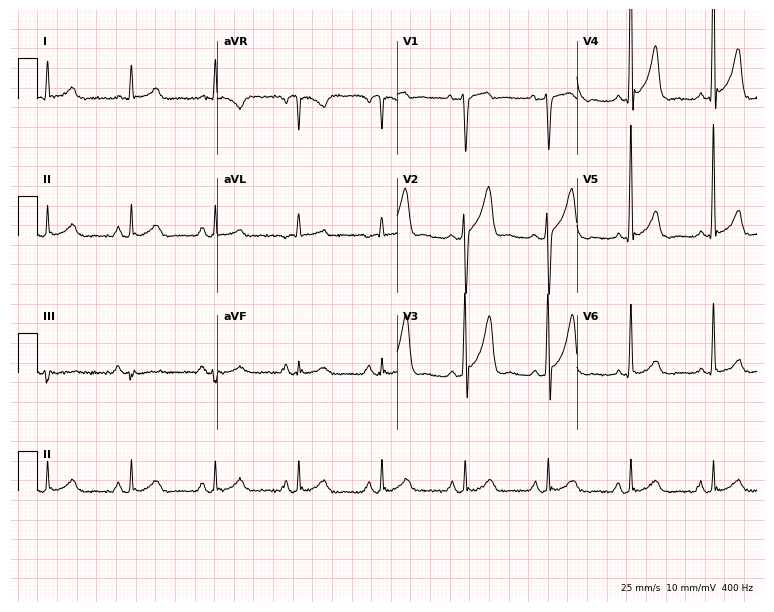
12-lead ECG from a 67-year-old male patient. No first-degree AV block, right bundle branch block, left bundle branch block, sinus bradycardia, atrial fibrillation or sinus tachycardia recorded for this tracing.